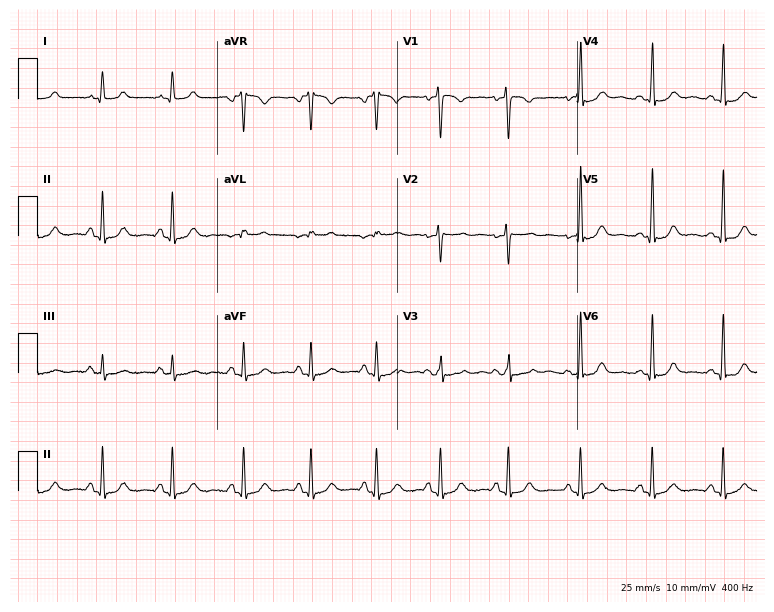
12-lead ECG (7.3-second recording at 400 Hz) from a woman, 30 years old. Labelled as a normal ECG.